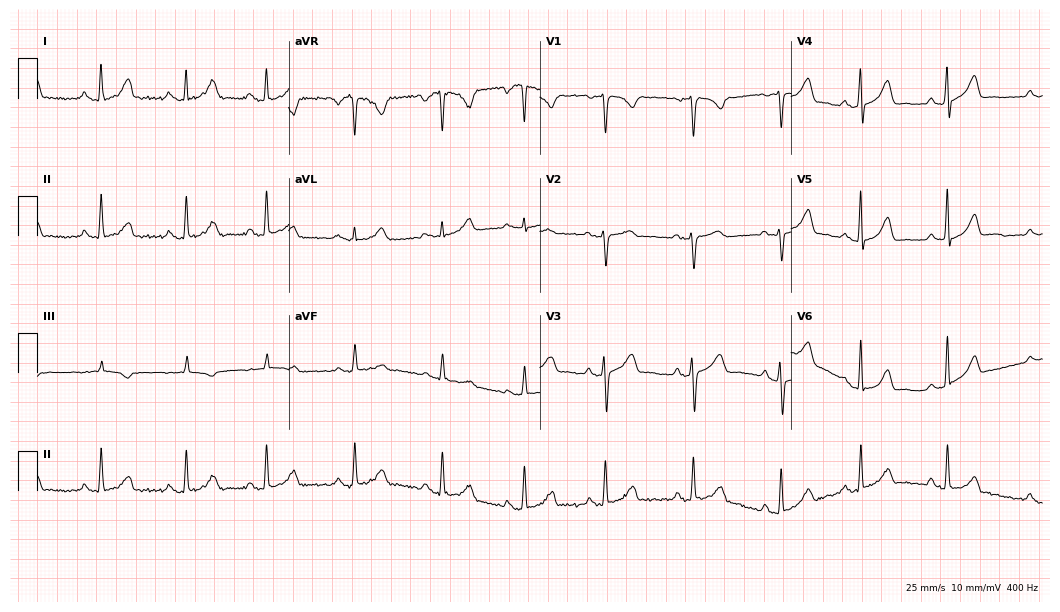
Standard 12-lead ECG recorded from a female patient, 25 years old (10.2-second recording at 400 Hz). Read as a normal ECG.